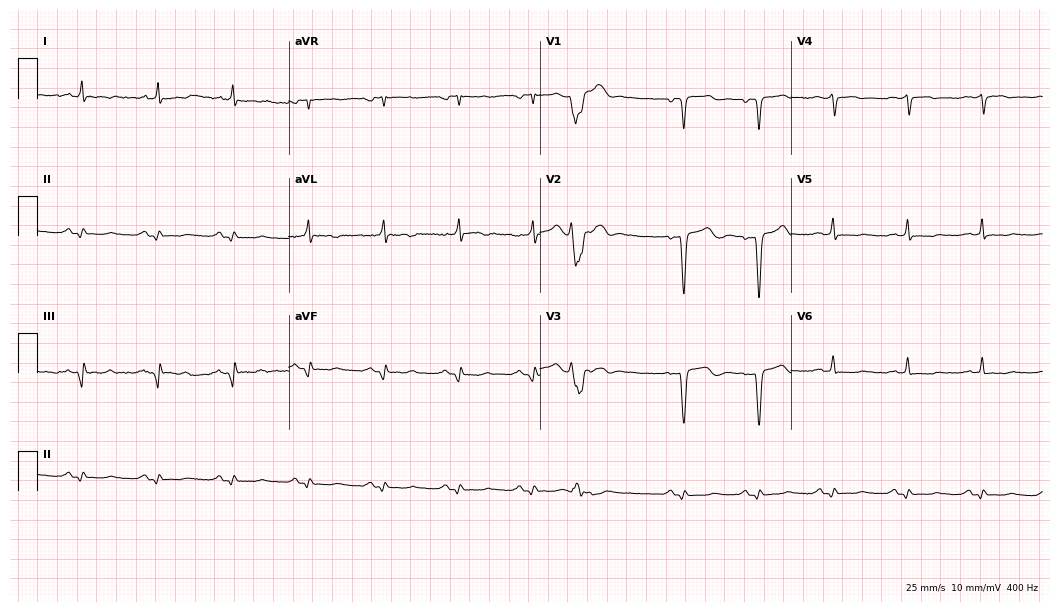
ECG — a 45-year-old woman. Screened for six findings — first-degree AV block, right bundle branch block (RBBB), left bundle branch block (LBBB), sinus bradycardia, atrial fibrillation (AF), sinus tachycardia — none is recorded.